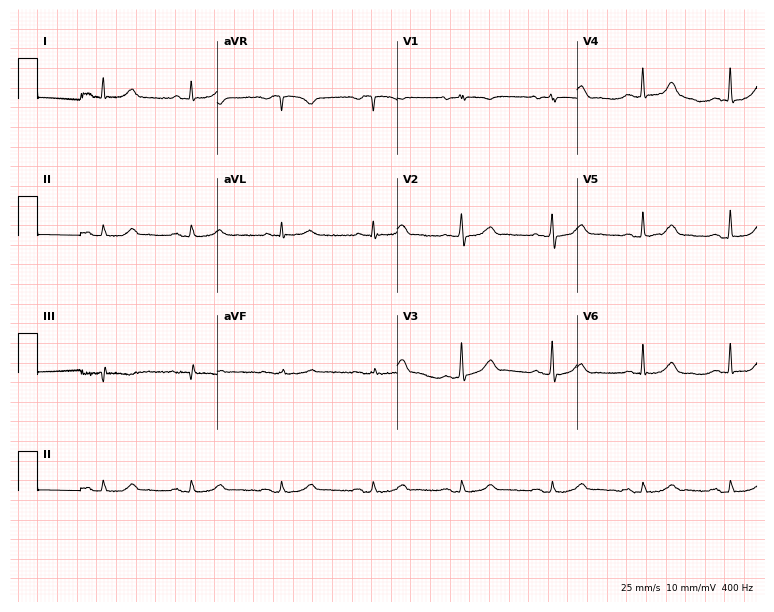
Electrocardiogram, a female patient, 70 years old. Overall reading on record: normal ECG.